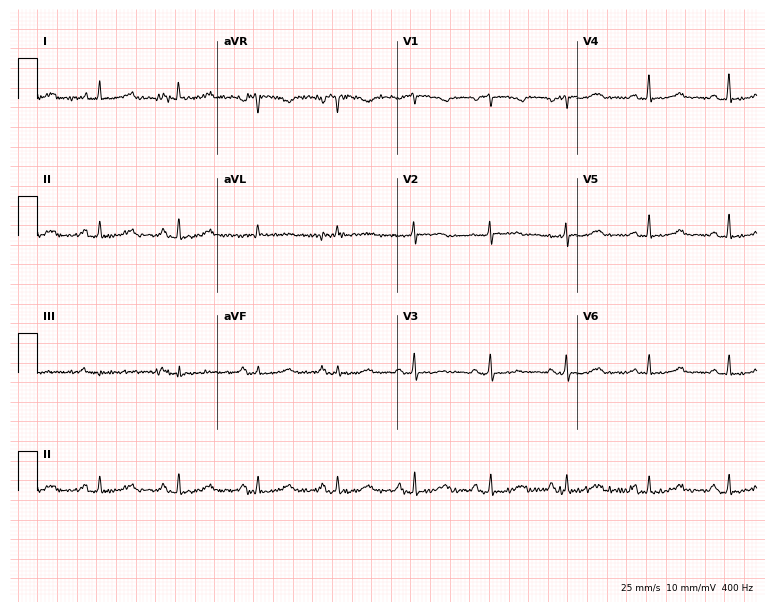
Standard 12-lead ECG recorded from a 47-year-old female (7.3-second recording at 400 Hz). None of these six findings is recorded: first-degree AV block, right bundle branch block, left bundle branch block, sinus bradycardia, atrial fibrillation, sinus tachycardia. Only these six findings were labelled.